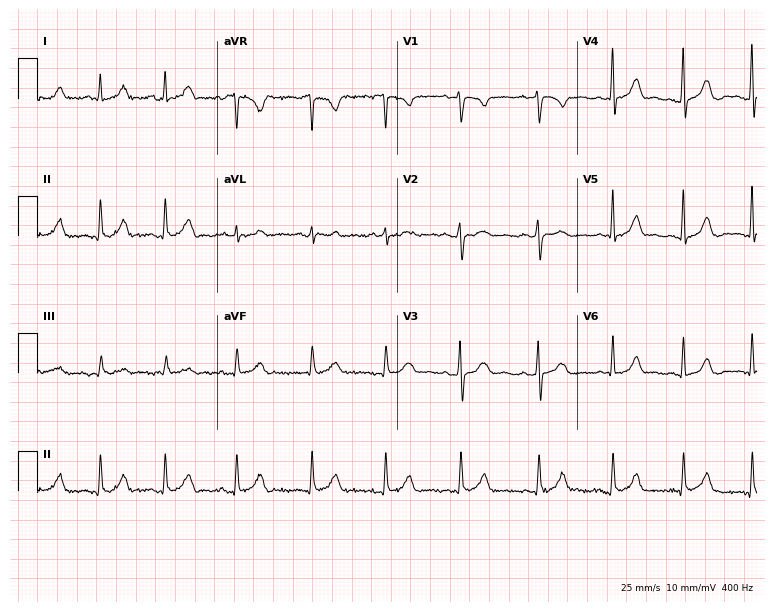
12-lead ECG (7.3-second recording at 400 Hz) from a 20-year-old female patient. Labelled as a normal ECG.